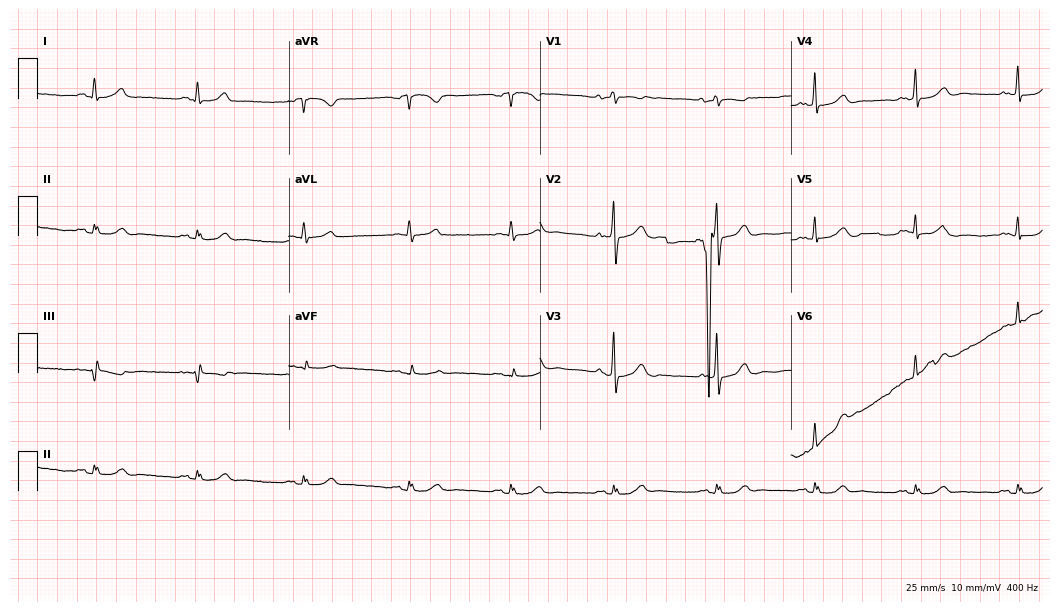
12-lead ECG (10.2-second recording at 400 Hz) from a man, 70 years old. Screened for six findings — first-degree AV block, right bundle branch block, left bundle branch block, sinus bradycardia, atrial fibrillation, sinus tachycardia — none is recorded.